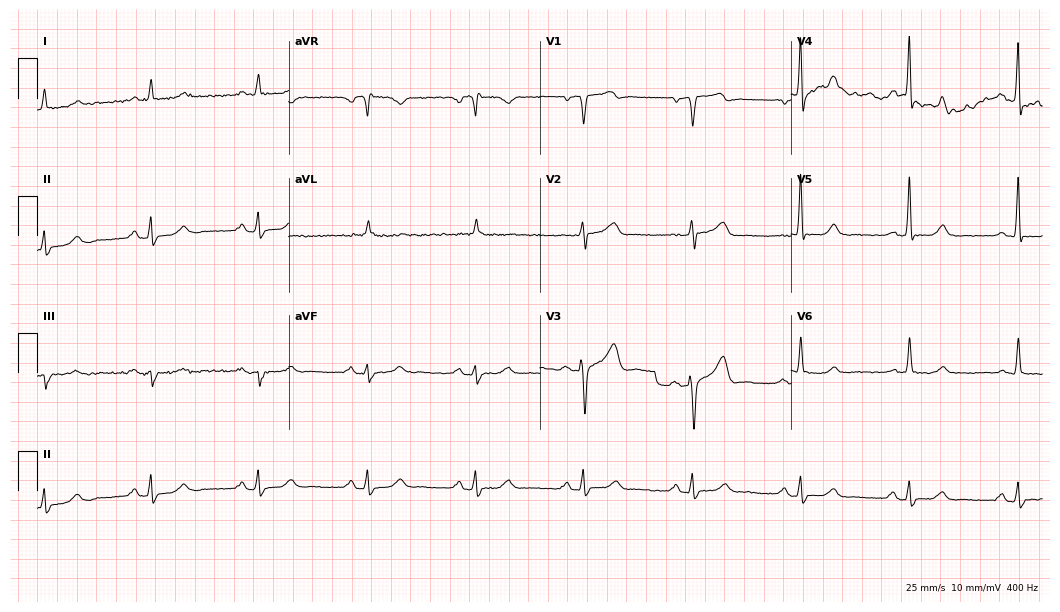
Electrocardiogram (10.2-second recording at 400 Hz), a 74-year-old male. Of the six screened findings (first-degree AV block, right bundle branch block (RBBB), left bundle branch block (LBBB), sinus bradycardia, atrial fibrillation (AF), sinus tachycardia), none is recorded.